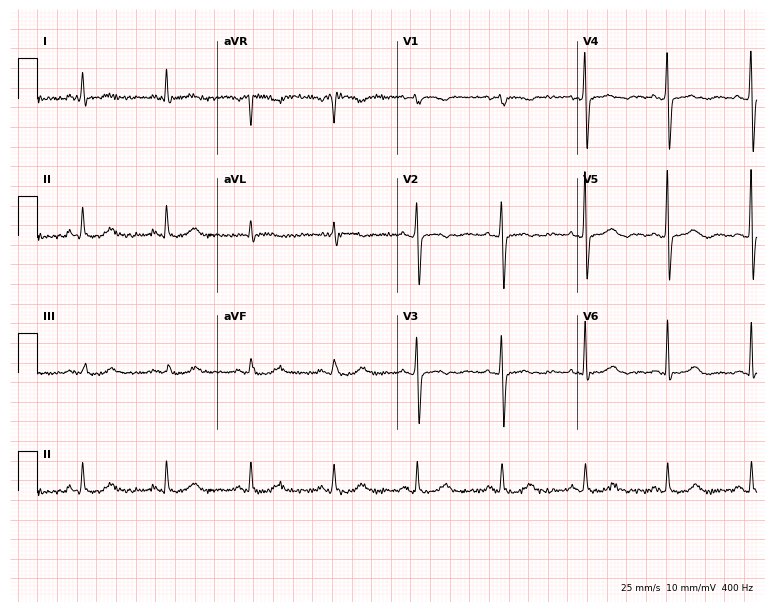
12-lead ECG from a woman, 83 years old. No first-degree AV block, right bundle branch block (RBBB), left bundle branch block (LBBB), sinus bradycardia, atrial fibrillation (AF) or sinus tachycardia recorded for this tracing. Only these six findings were labelled.